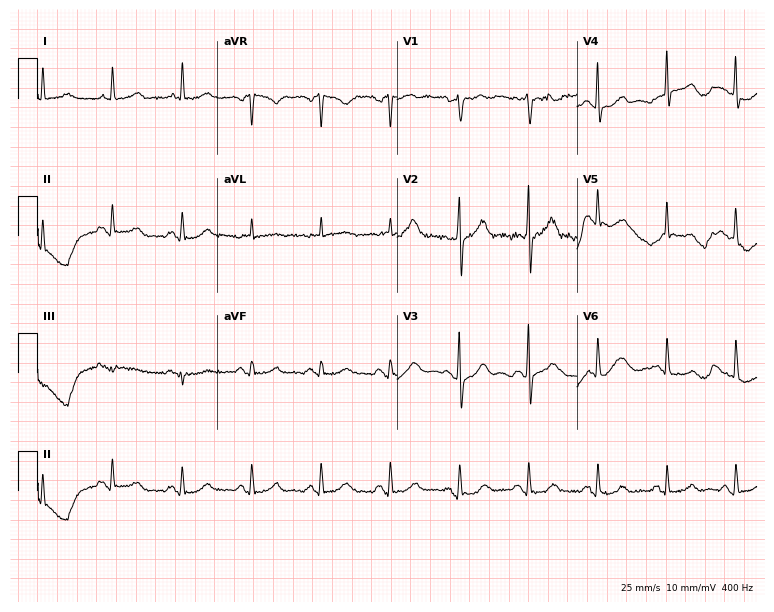
Resting 12-lead electrocardiogram. Patient: an 84-year-old female. Read as a normal ECG.